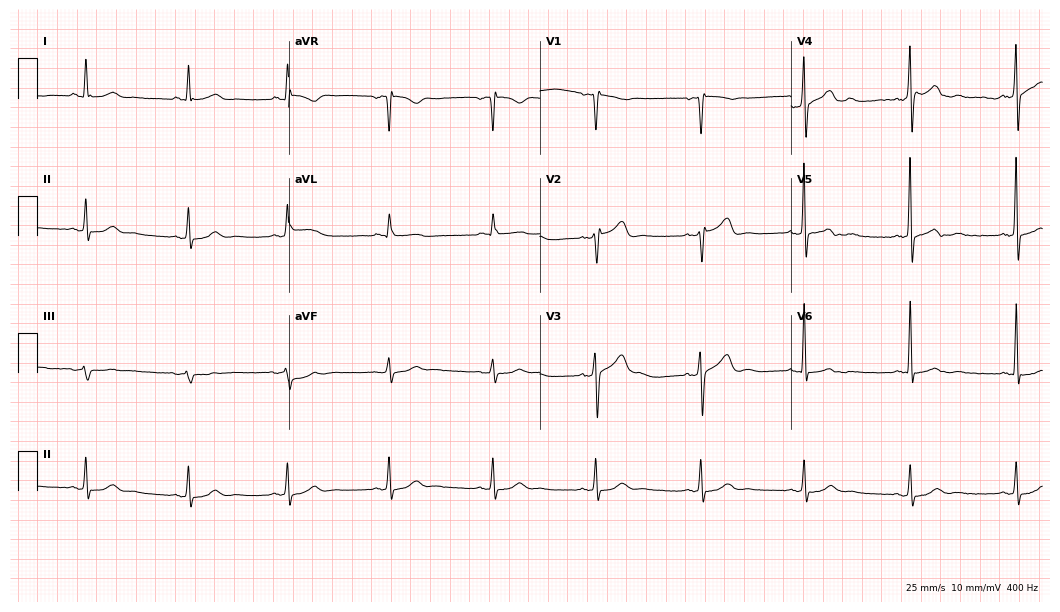
12-lead ECG from a male, 49 years old. Labelled as a normal ECG.